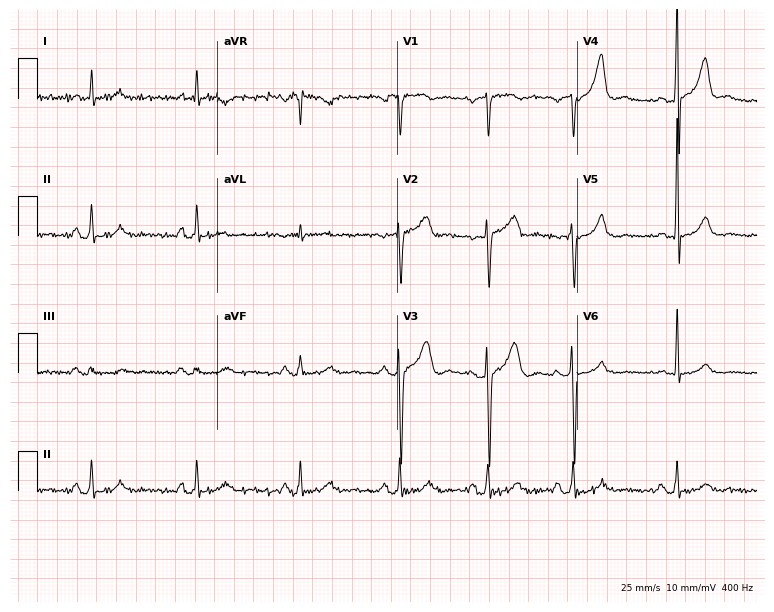
Electrocardiogram (7.3-second recording at 400 Hz), a 58-year-old male. Overall reading on record: normal ECG.